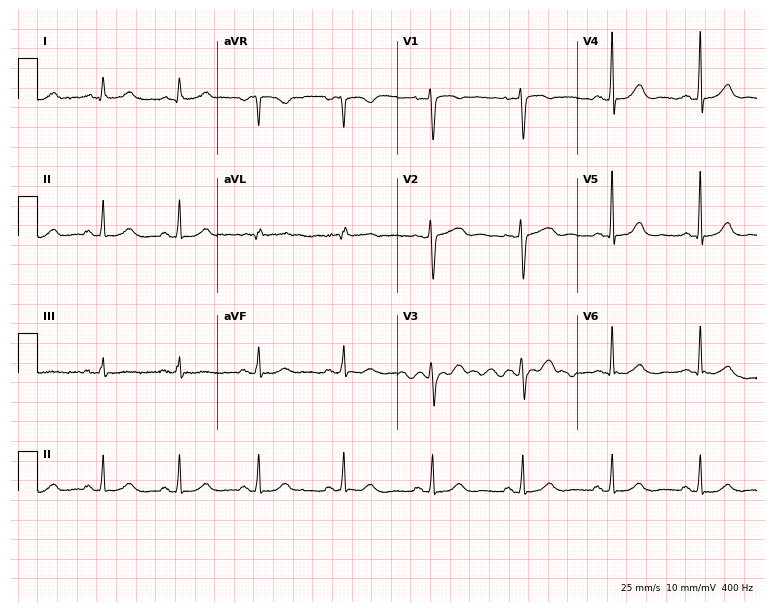
Standard 12-lead ECG recorded from a woman, 36 years old. Read as a normal ECG.